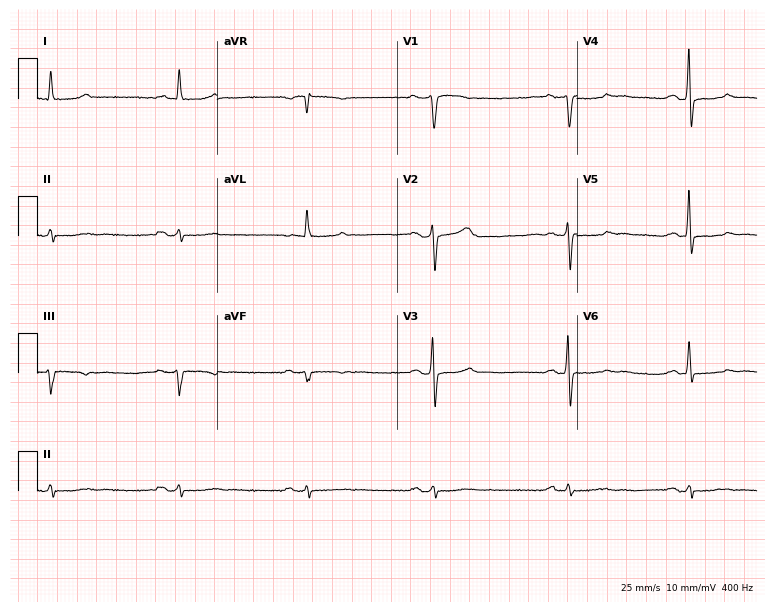
Electrocardiogram (7.3-second recording at 400 Hz), a 70-year-old woman. Interpretation includes sinus bradycardia (a sinus rate of 50 beats per minute or less).